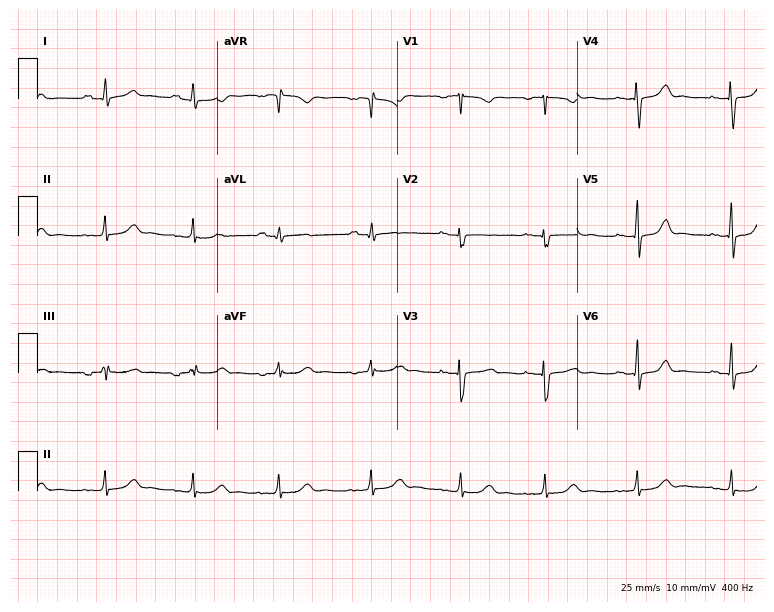
Electrocardiogram (7.3-second recording at 400 Hz), a 24-year-old woman. Overall reading on record: normal ECG.